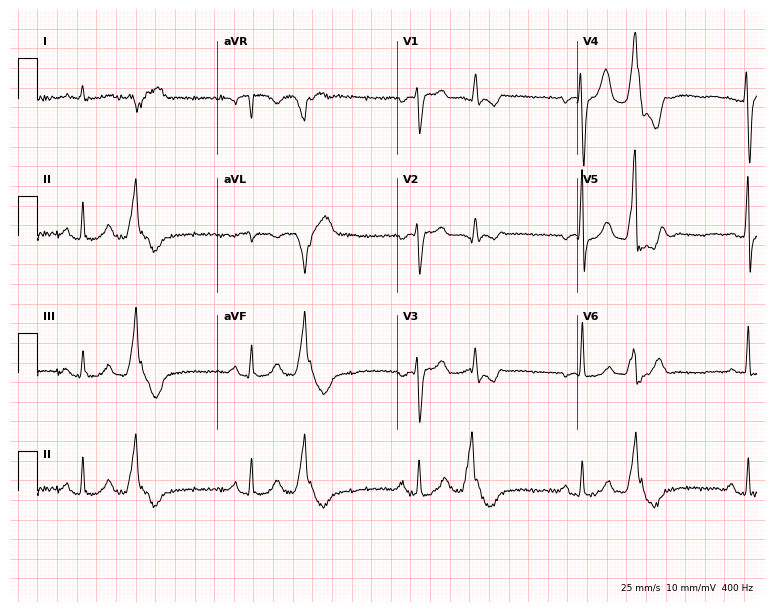
12-lead ECG from a 70-year-old male (7.3-second recording at 400 Hz). No first-degree AV block, right bundle branch block, left bundle branch block, sinus bradycardia, atrial fibrillation or sinus tachycardia recorded for this tracing.